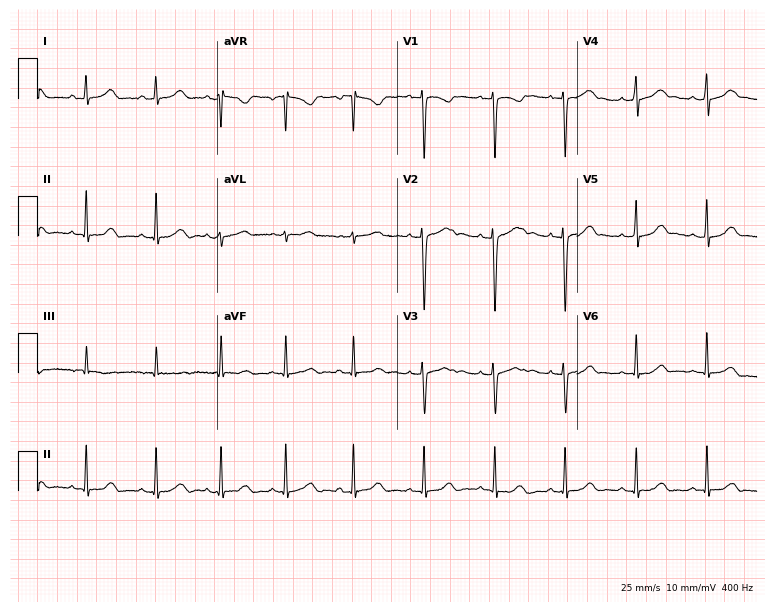
12-lead ECG from a female patient, 17 years old. No first-degree AV block, right bundle branch block, left bundle branch block, sinus bradycardia, atrial fibrillation or sinus tachycardia recorded for this tracing. Only these six findings were labelled.